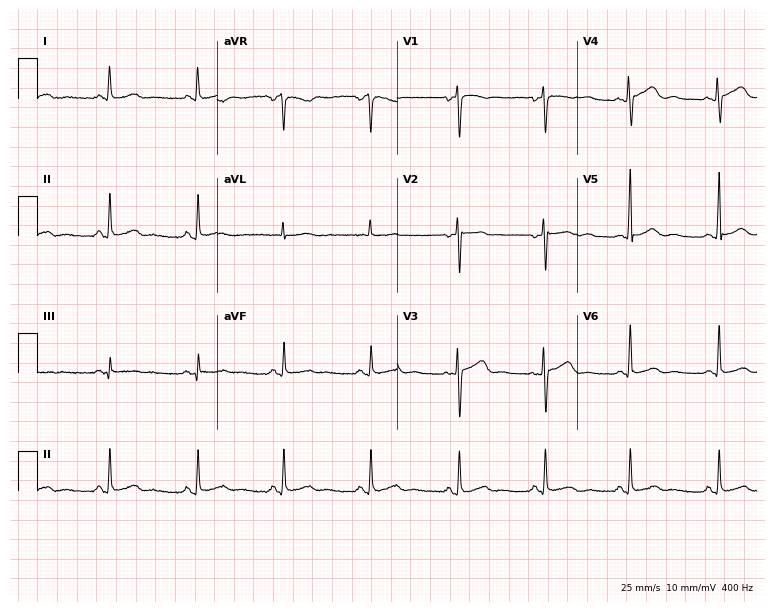
Resting 12-lead electrocardiogram (7.3-second recording at 400 Hz). Patient: a female, 43 years old. None of these six findings is recorded: first-degree AV block, right bundle branch block, left bundle branch block, sinus bradycardia, atrial fibrillation, sinus tachycardia.